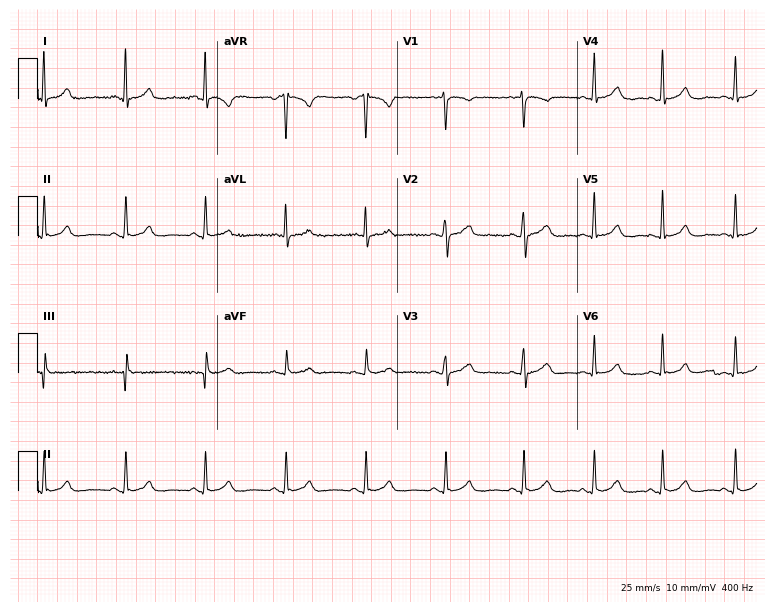
ECG (7.3-second recording at 400 Hz) — a woman, 36 years old. Labelled as a normal ECG.